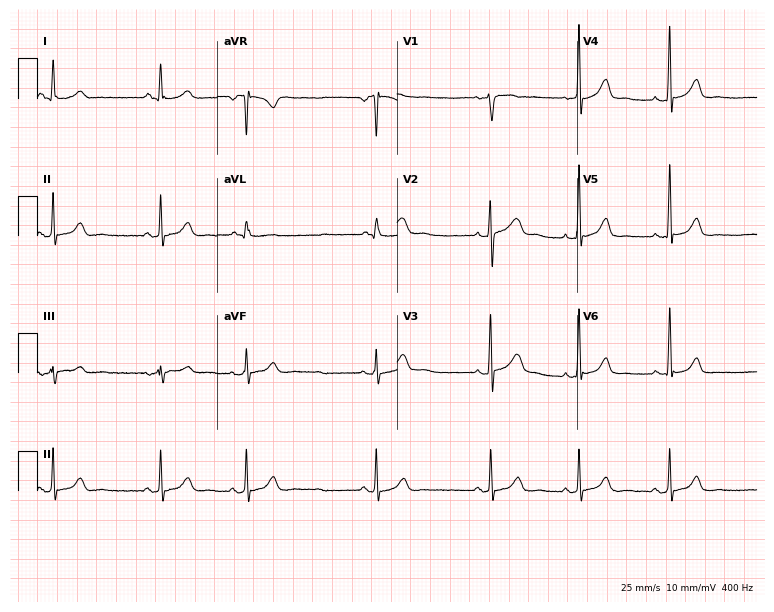
12-lead ECG from a female, 17 years old. Recorded interpretation: within normal limits.